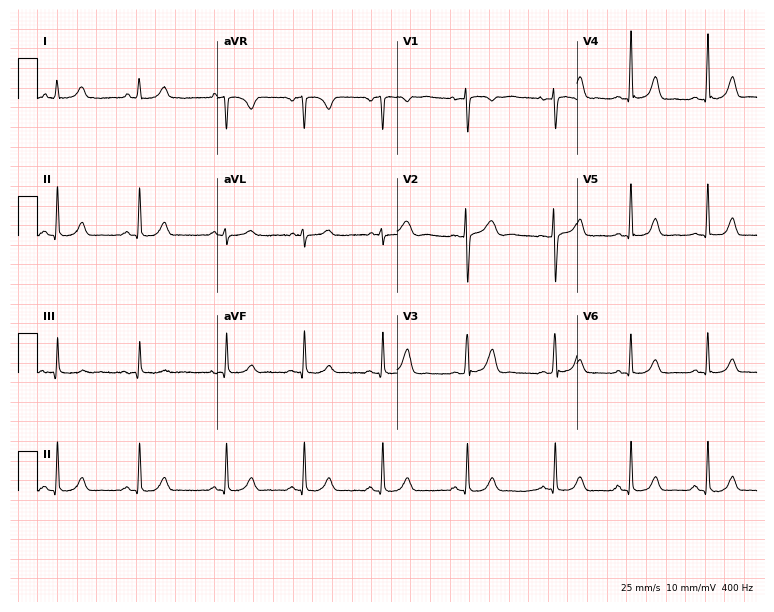
Standard 12-lead ECG recorded from a 23-year-old female patient. Read as a normal ECG.